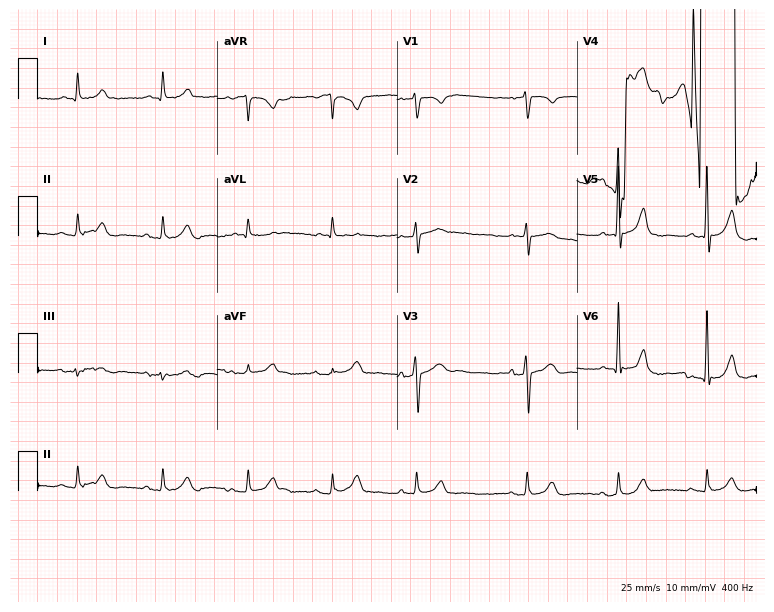
12-lead ECG from a 79-year-old male. Screened for six findings — first-degree AV block, right bundle branch block, left bundle branch block, sinus bradycardia, atrial fibrillation, sinus tachycardia — none is recorded.